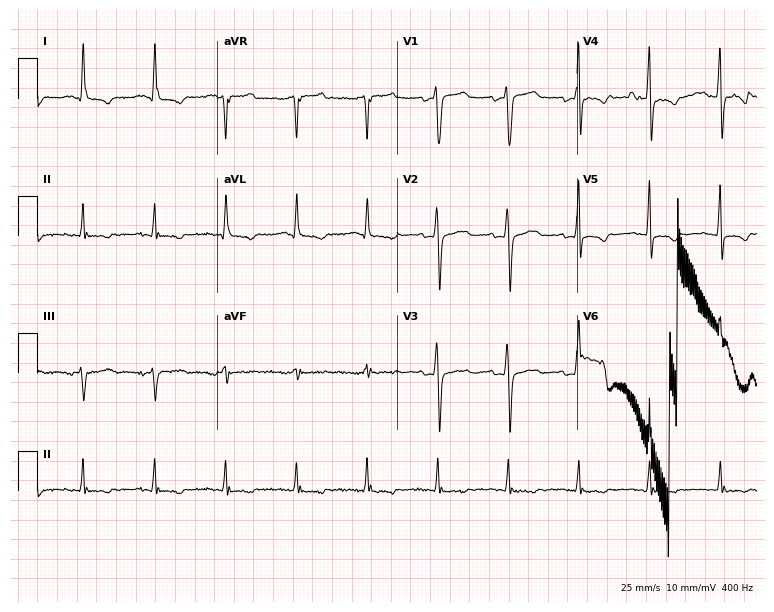
Electrocardiogram, a 73-year-old male. Of the six screened findings (first-degree AV block, right bundle branch block, left bundle branch block, sinus bradycardia, atrial fibrillation, sinus tachycardia), none is recorded. Only these six findings were labelled.